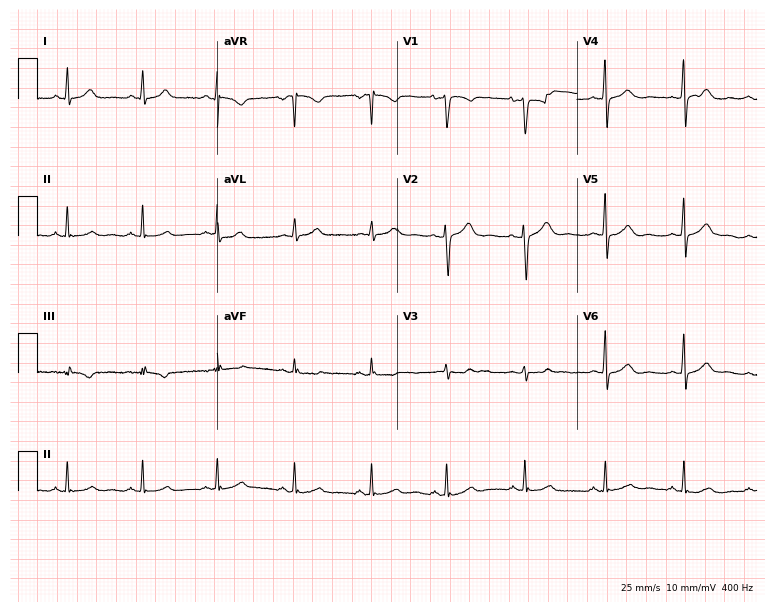
ECG — a 44-year-old woman. Labelled as a normal ECG.